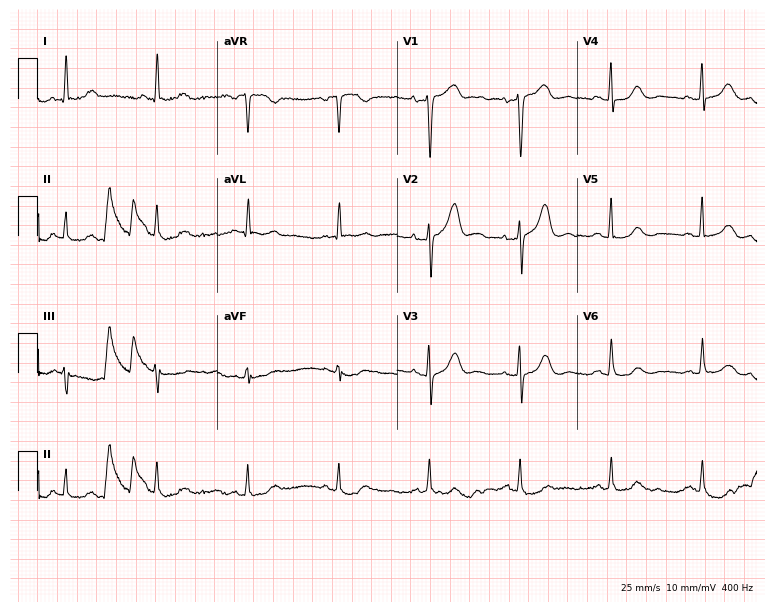
Standard 12-lead ECG recorded from a woman, 75 years old. None of these six findings is recorded: first-degree AV block, right bundle branch block, left bundle branch block, sinus bradycardia, atrial fibrillation, sinus tachycardia.